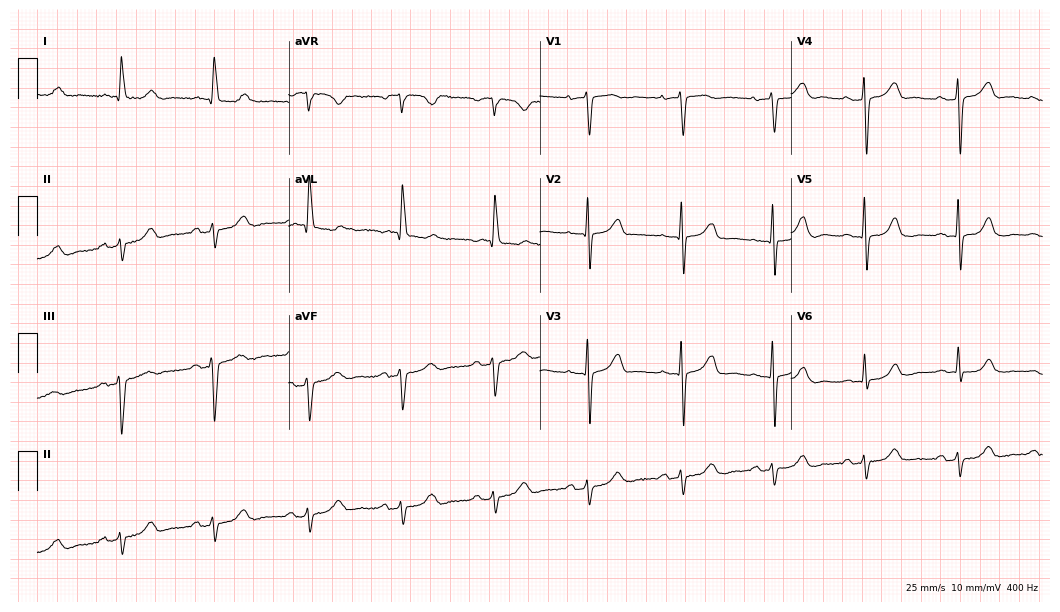
Standard 12-lead ECG recorded from a female, 74 years old (10.2-second recording at 400 Hz). None of these six findings is recorded: first-degree AV block, right bundle branch block, left bundle branch block, sinus bradycardia, atrial fibrillation, sinus tachycardia. Other findings, if any, are not listed.